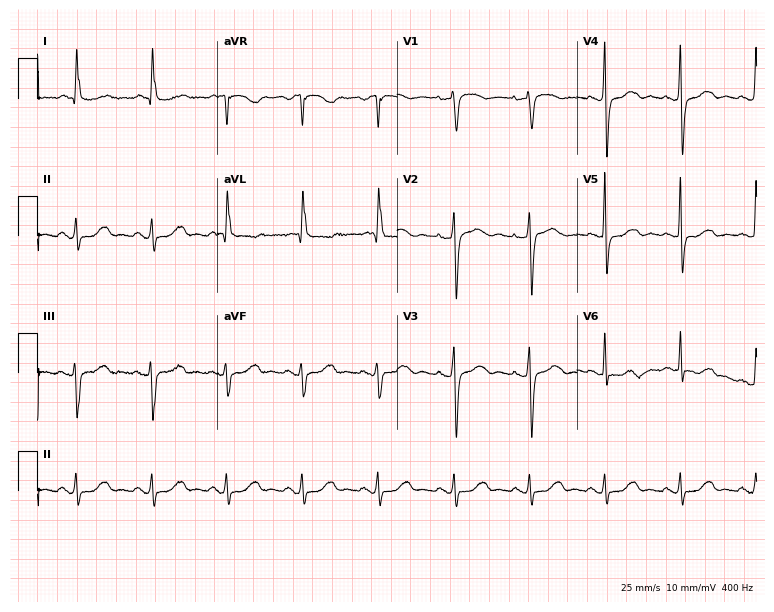
Resting 12-lead electrocardiogram. Patient: a 75-year-old woman. None of these six findings is recorded: first-degree AV block, right bundle branch block, left bundle branch block, sinus bradycardia, atrial fibrillation, sinus tachycardia.